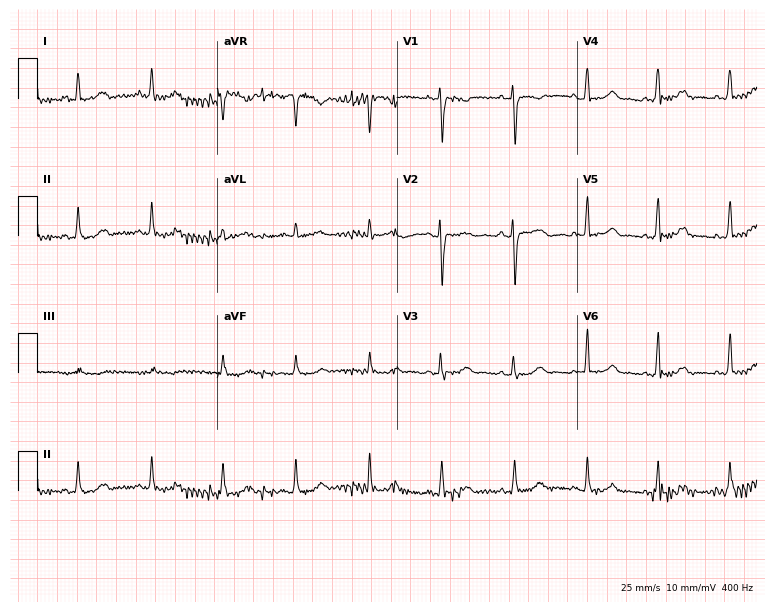
12-lead ECG from a 35-year-old female. Screened for six findings — first-degree AV block, right bundle branch block, left bundle branch block, sinus bradycardia, atrial fibrillation, sinus tachycardia — none is recorded. Other findings, if any, are not listed.